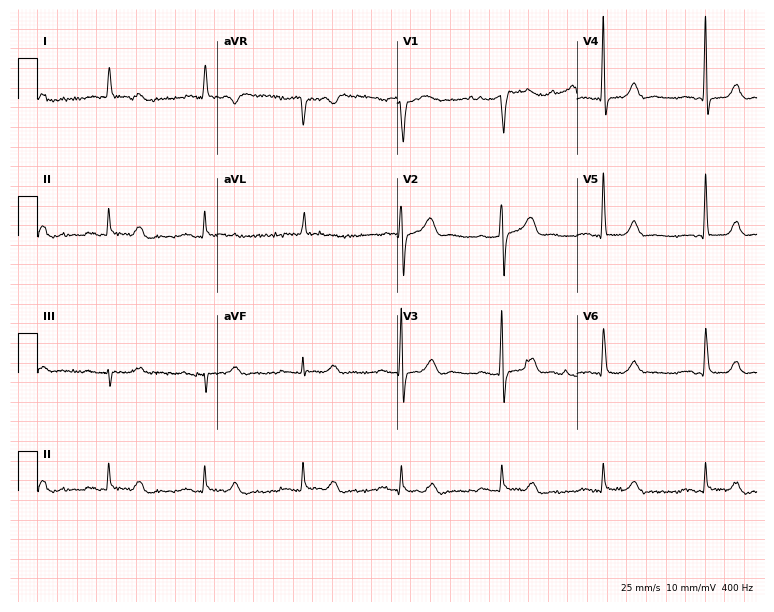
Resting 12-lead electrocardiogram. Patient: a 78-year-old man. None of these six findings is recorded: first-degree AV block, right bundle branch block, left bundle branch block, sinus bradycardia, atrial fibrillation, sinus tachycardia. Other findings, if any, are not listed.